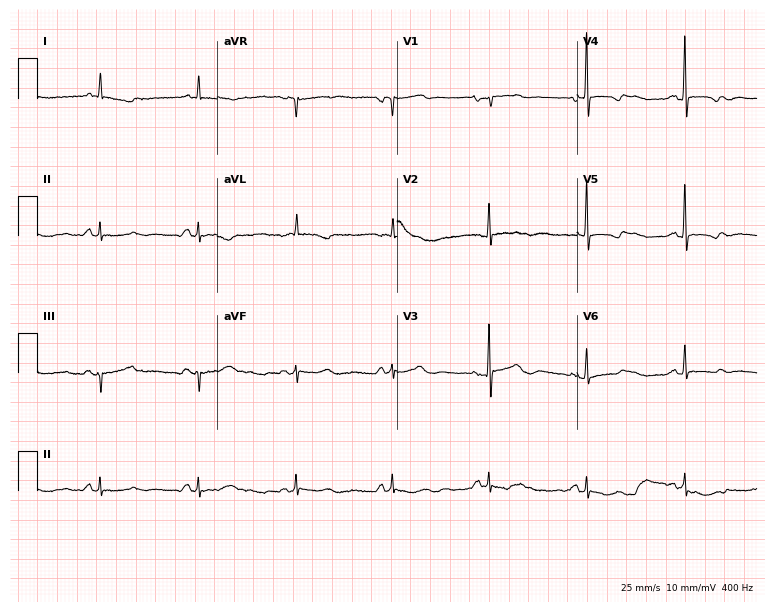
12-lead ECG (7.3-second recording at 400 Hz) from a female, 80 years old. Screened for six findings — first-degree AV block, right bundle branch block, left bundle branch block, sinus bradycardia, atrial fibrillation, sinus tachycardia — none is recorded.